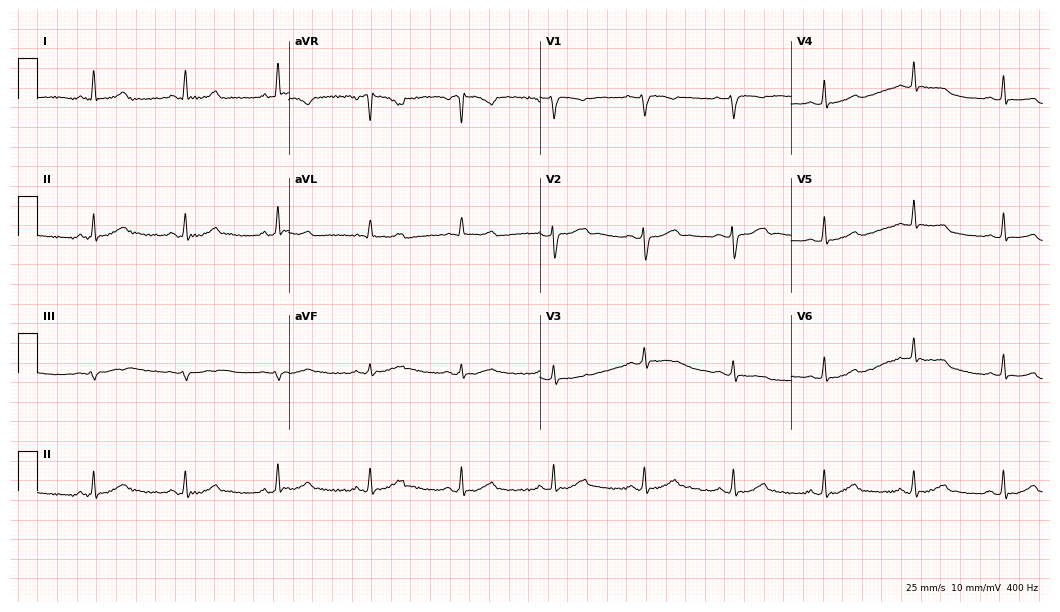
ECG (10.2-second recording at 400 Hz) — a woman, 34 years old. Labelled as a normal ECG.